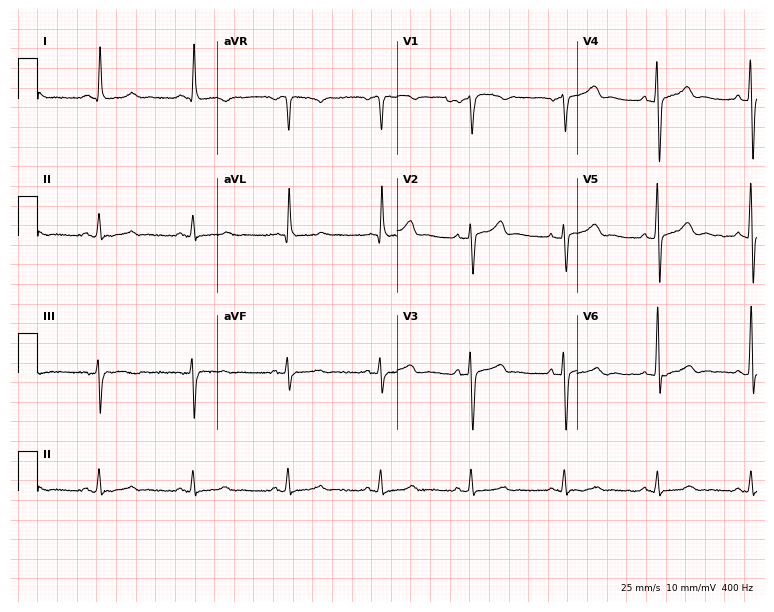
12-lead ECG from a 70-year-old man. Labelled as a normal ECG.